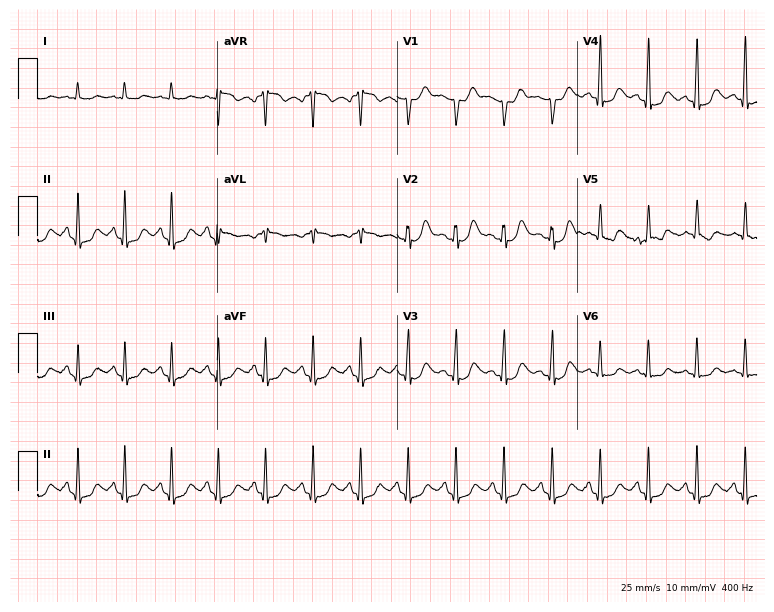
12-lead ECG (7.3-second recording at 400 Hz) from a 50-year-old woman. Findings include sinus tachycardia (a sinus rate of 100 beats per minute or more).